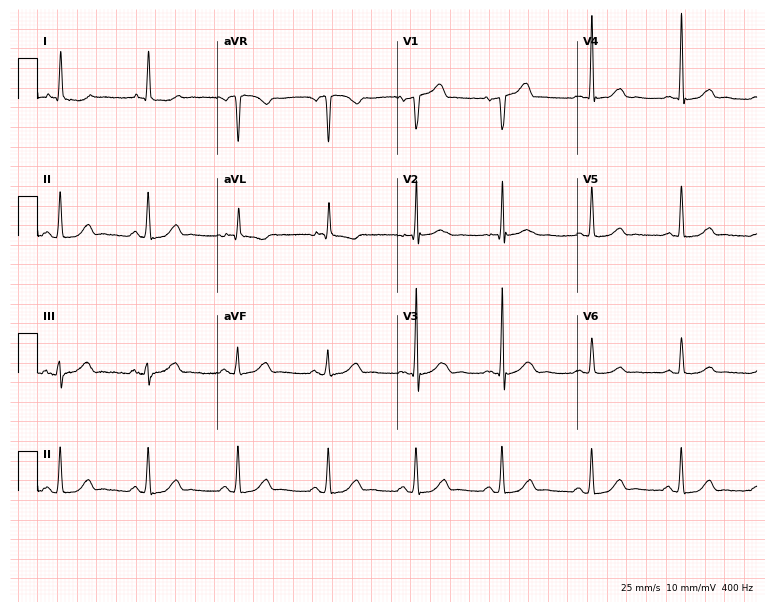
Standard 12-lead ECG recorded from a male, 85 years old. Read as a normal ECG.